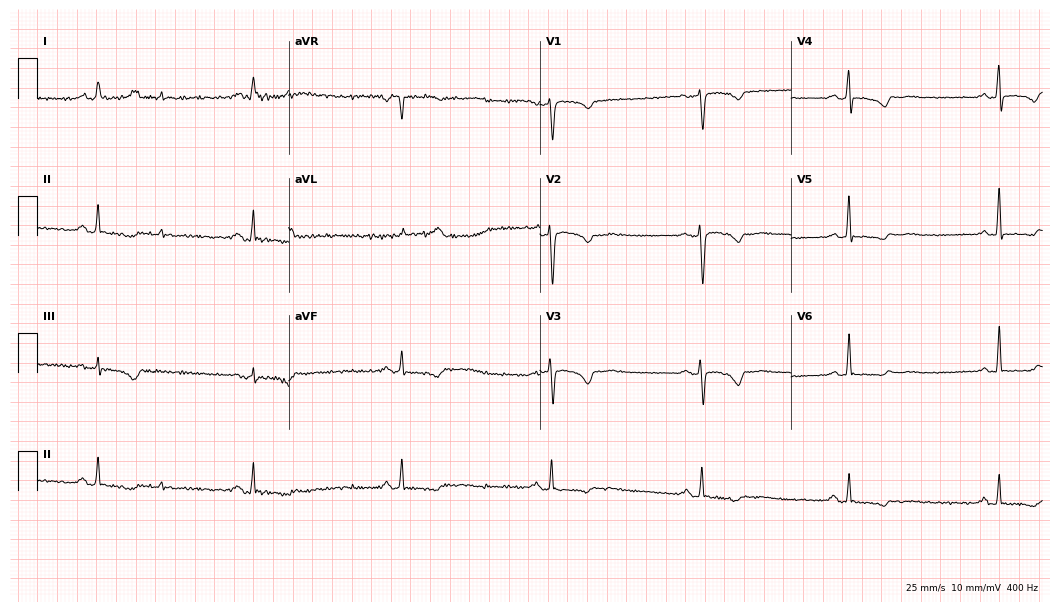
Resting 12-lead electrocardiogram (10.2-second recording at 400 Hz). Patient: a 55-year-old woman. The tracing shows sinus bradycardia (a sinus rate of 50 beats per minute or less).